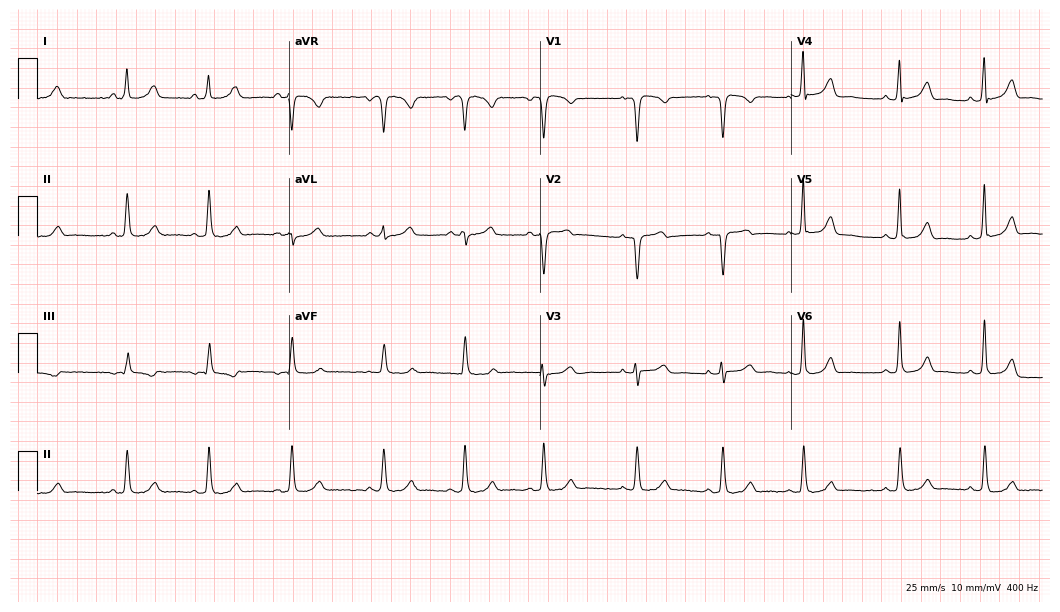
Resting 12-lead electrocardiogram (10.2-second recording at 400 Hz). Patient: a female, 32 years old. Read as a normal ECG.